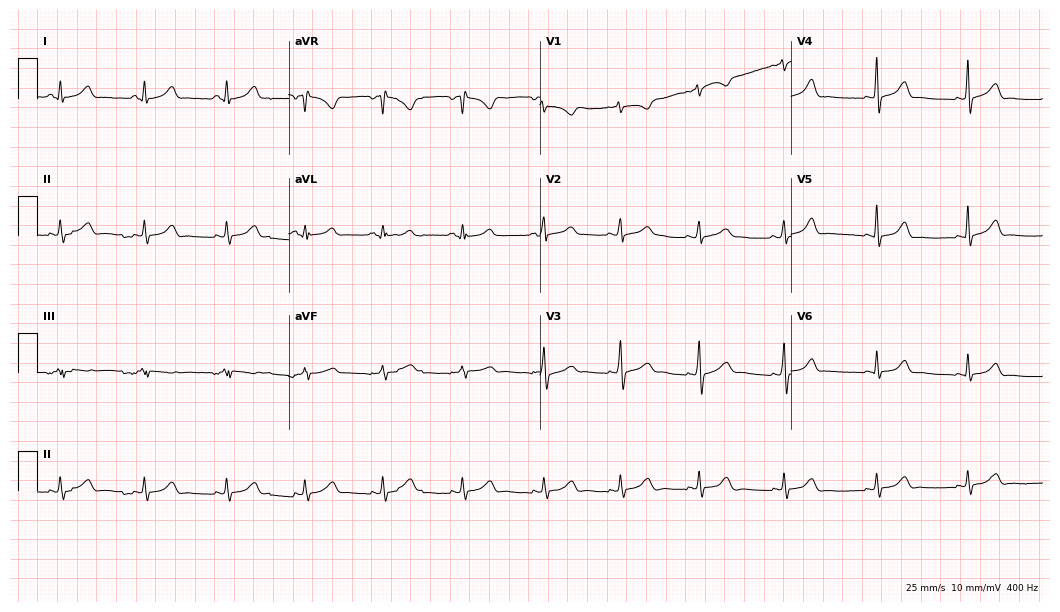
12-lead ECG from a 24-year-old female. Recorded interpretation: within normal limits.